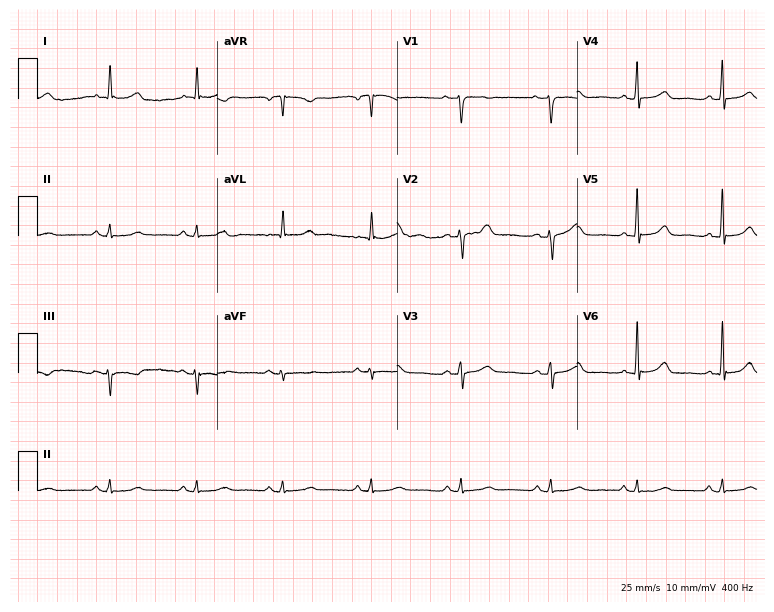
Electrocardiogram, a 57-year-old woman. Overall reading on record: normal ECG.